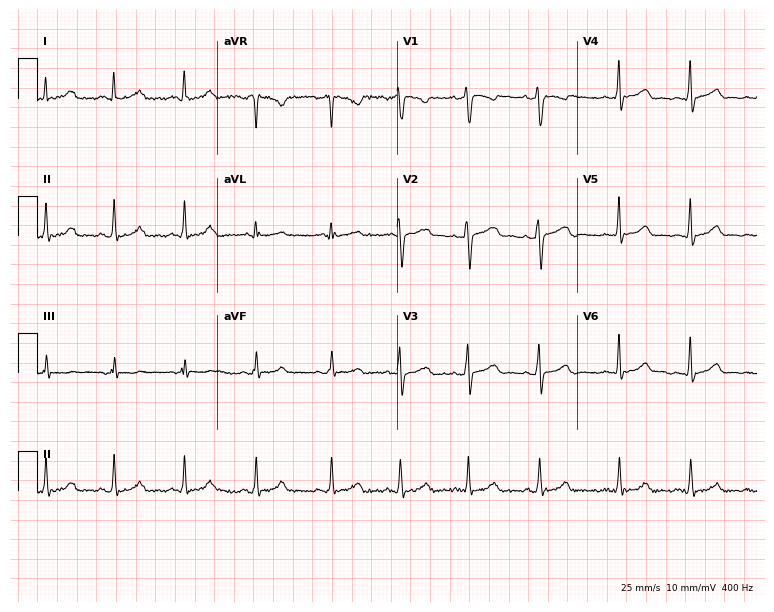
12-lead ECG from a 33-year-old female patient. Labelled as a normal ECG.